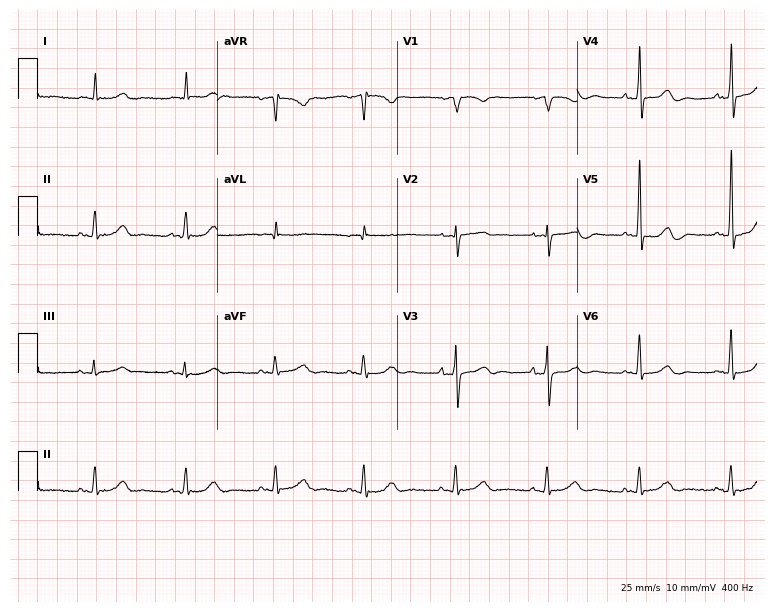
Electrocardiogram, a male, 84 years old. Overall reading on record: normal ECG.